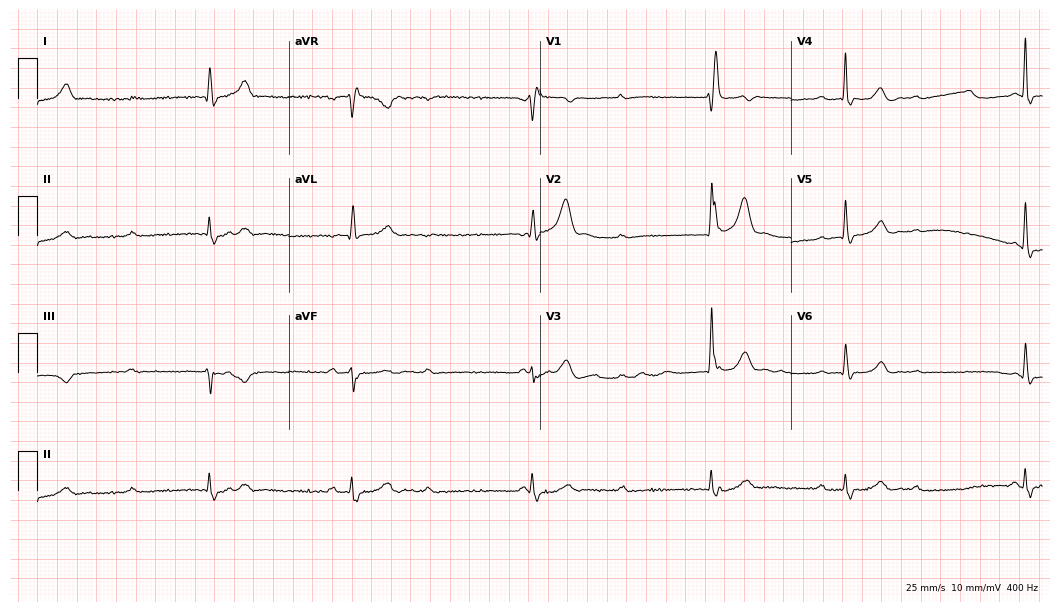
12-lead ECG from a male, 81 years old (10.2-second recording at 400 Hz). No first-degree AV block, right bundle branch block, left bundle branch block, sinus bradycardia, atrial fibrillation or sinus tachycardia recorded for this tracing. Findings outside these six are not listed.